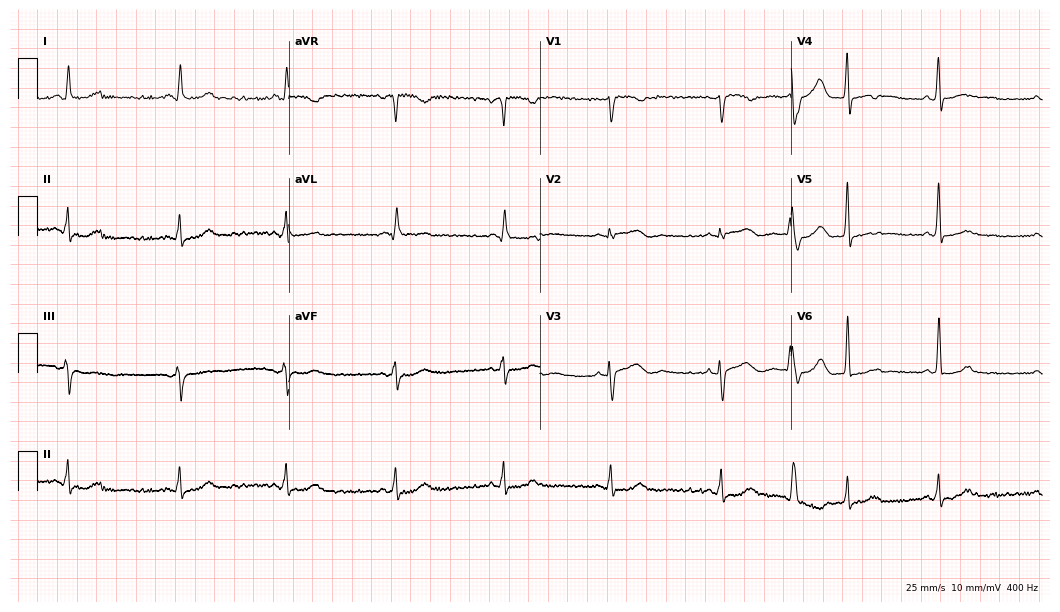
Resting 12-lead electrocardiogram. Patient: a female, 53 years old. None of these six findings is recorded: first-degree AV block, right bundle branch block, left bundle branch block, sinus bradycardia, atrial fibrillation, sinus tachycardia. Findings outside these six are not listed.